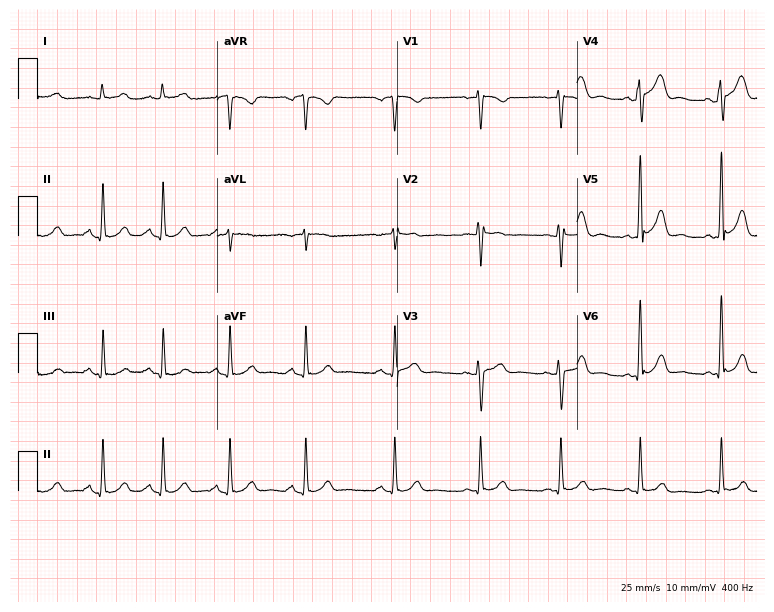
12-lead ECG (7.3-second recording at 400 Hz) from a 36-year-old man. Labelled as a normal ECG.